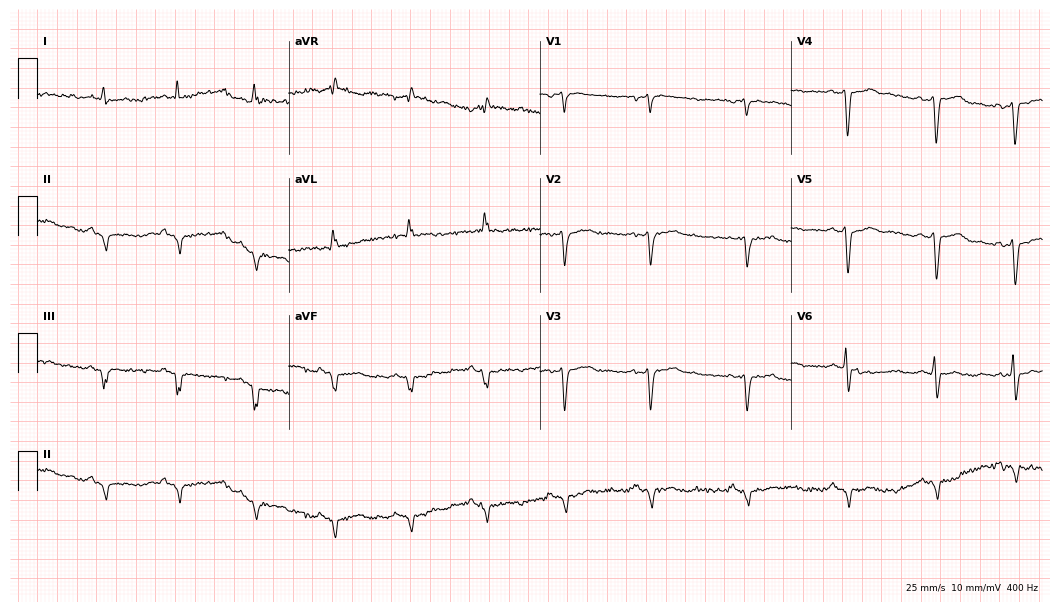
Standard 12-lead ECG recorded from a male patient, 68 years old. None of these six findings is recorded: first-degree AV block, right bundle branch block, left bundle branch block, sinus bradycardia, atrial fibrillation, sinus tachycardia.